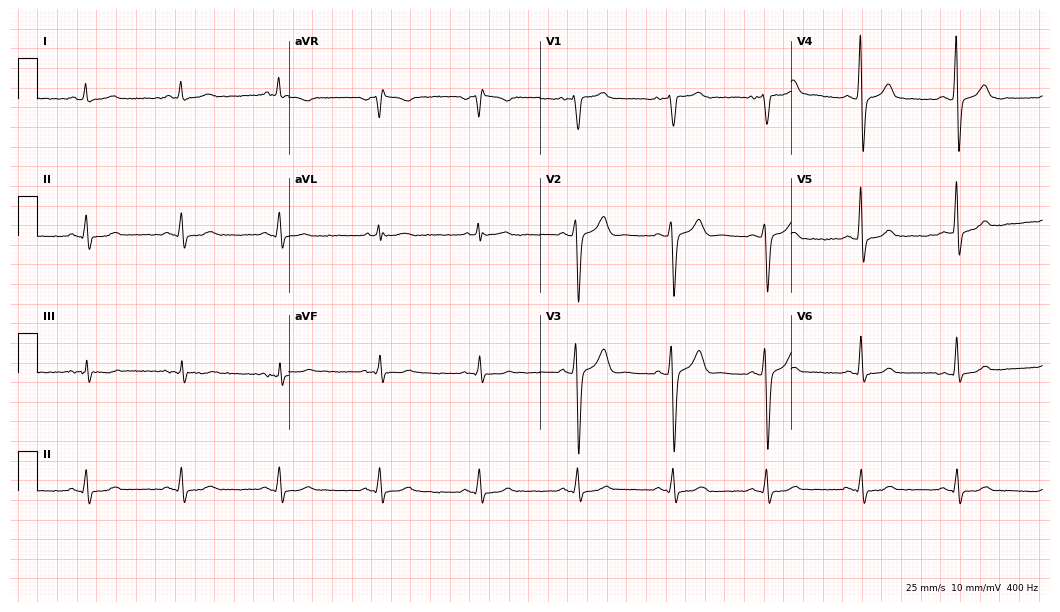
12-lead ECG from a man, 48 years old (10.2-second recording at 400 Hz). No first-degree AV block, right bundle branch block, left bundle branch block, sinus bradycardia, atrial fibrillation or sinus tachycardia recorded for this tracing.